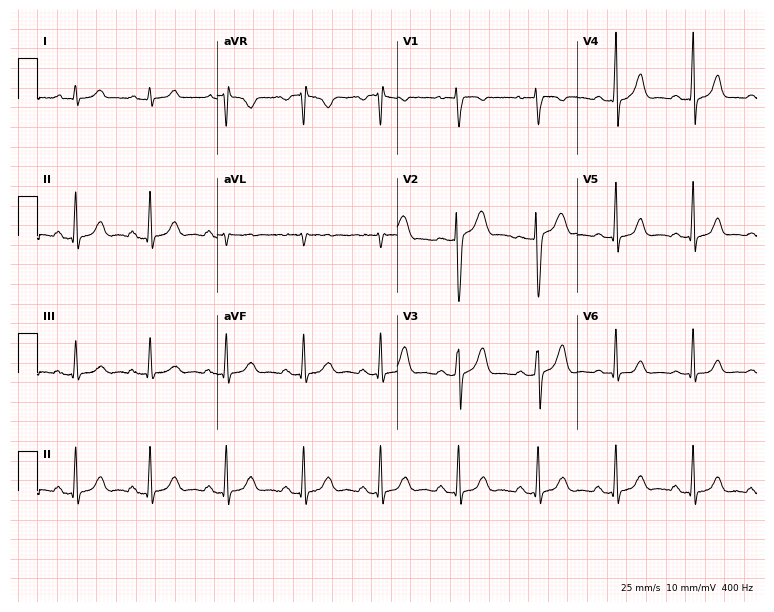
12-lead ECG from a female, 31 years old. Recorded interpretation: within normal limits.